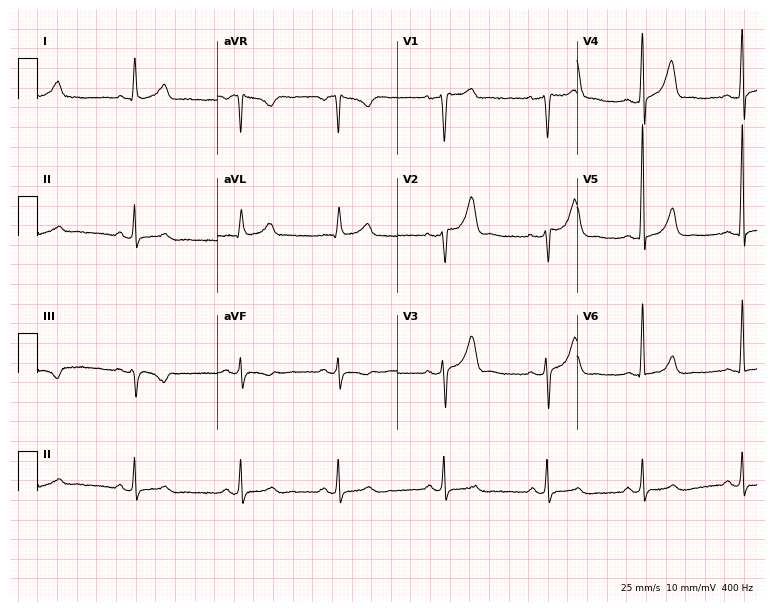
12-lead ECG from a man, 38 years old. No first-degree AV block, right bundle branch block, left bundle branch block, sinus bradycardia, atrial fibrillation or sinus tachycardia recorded for this tracing.